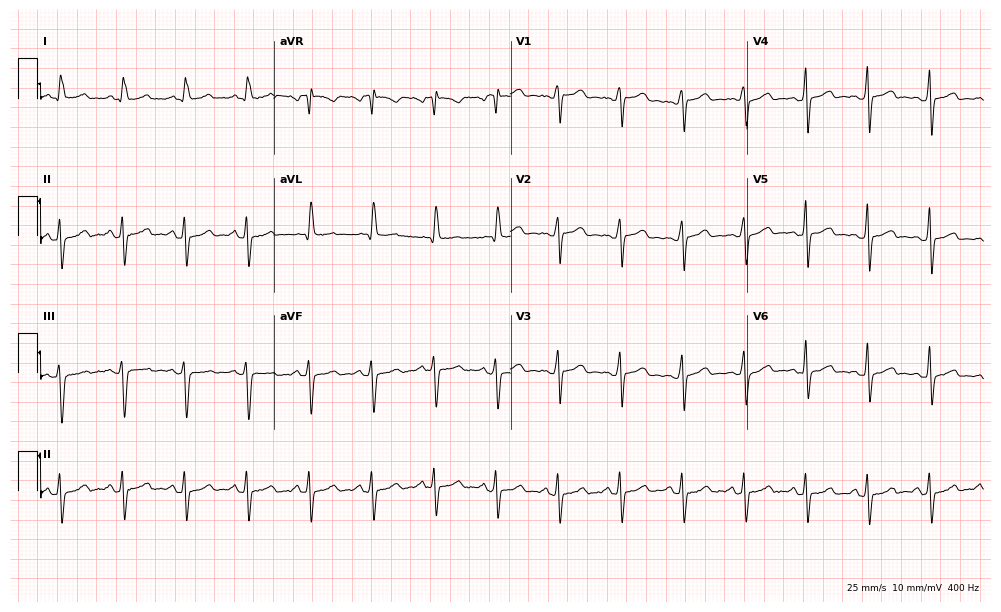
12-lead ECG from a male patient, 40 years old. Recorded interpretation: within normal limits.